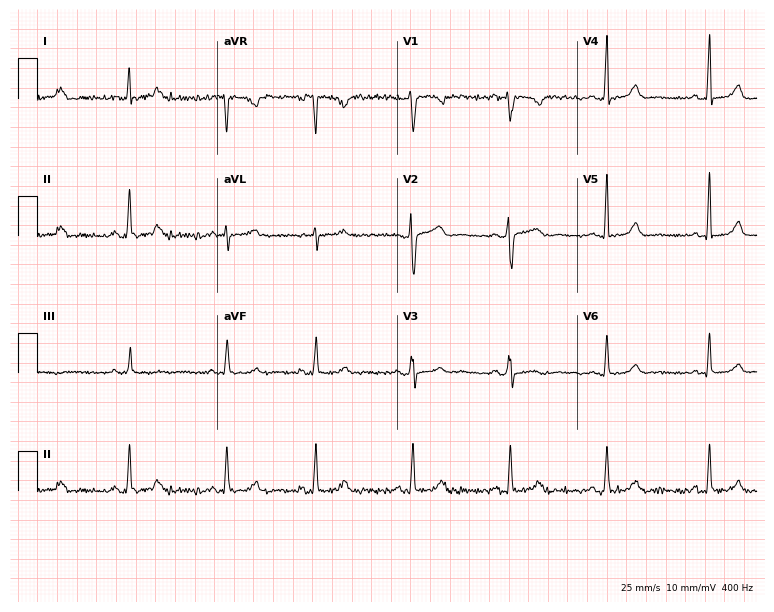
Standard 12-lead ECG recorded from a 36-year-old female patient. None of these six findings is recorded: first-degree AV block, right bundle branch block (RBBB), left bundle branch block (LBBB), sinus bradycardia, atrial fibrillation (AF), sinus tachycardia. Other findings, if any, are not listed.